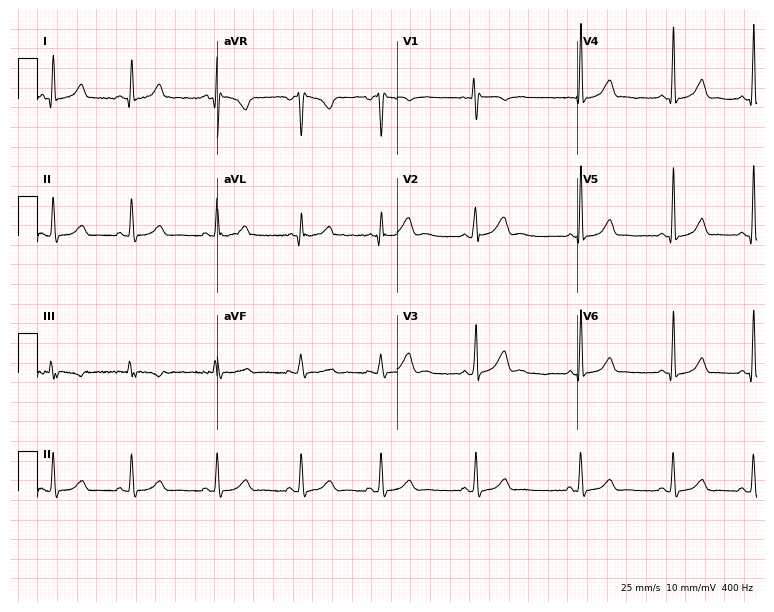
12-lead ECG from a woman, 21 years old. Labelled as a normal ECG.